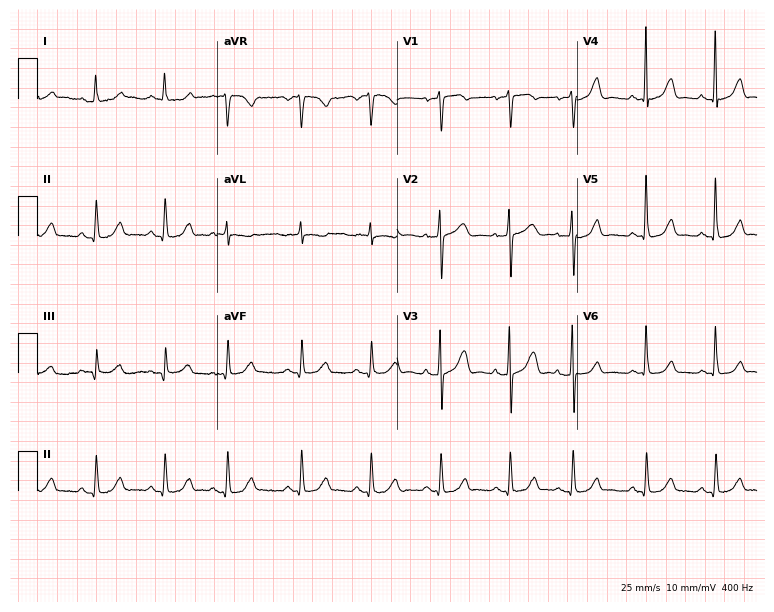
Resting 12-lead electrocardiogram (7.3-second recording at 400 Hz). Patient: a 74-year-old woman. Read as a normal ECG.